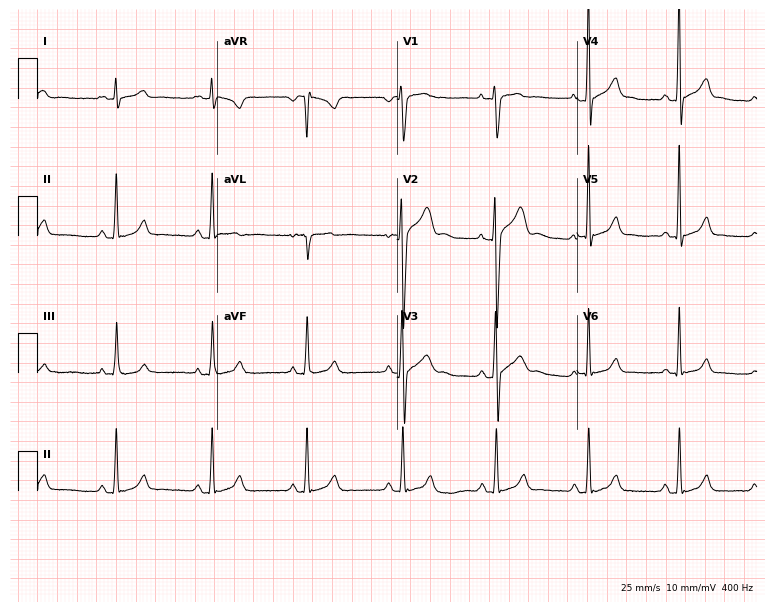
Standard 12-lead ECG recorded from a man, 20 years old (7.3-second recording at 400 Hz). Read as a normal ECG.